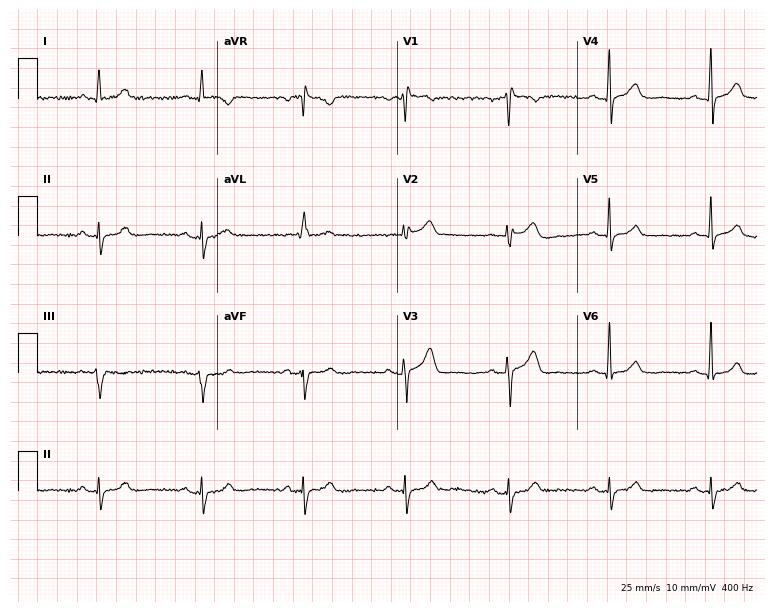
Electrocardiogram, a man, 49 years old. Of the six screened findings (first-degree AV block, right bundle branch block, left bundle branch block, sinus bradycardia, atrial fibrillation, sinus tachycardia), none is recorded.